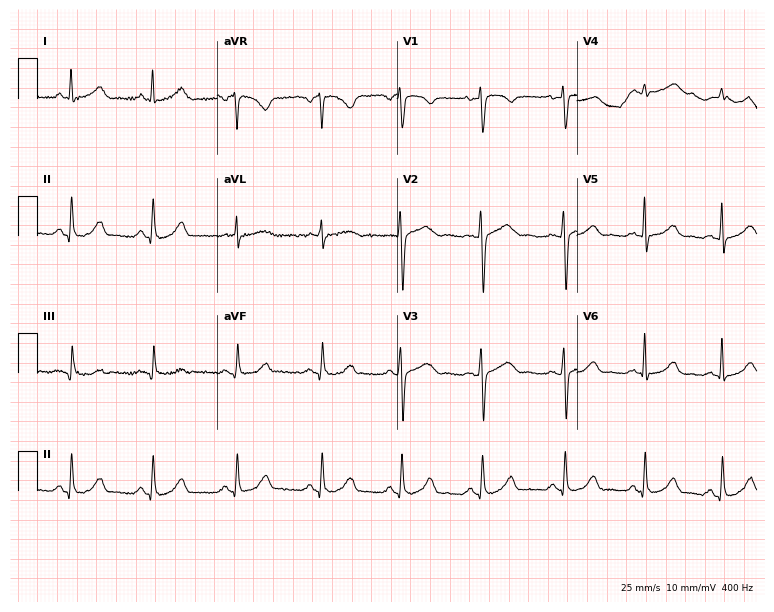
12-lead ECG (7.3-second recording at 400 Hz) from a female patient, 39 years old. Labelled as a normal ECG.